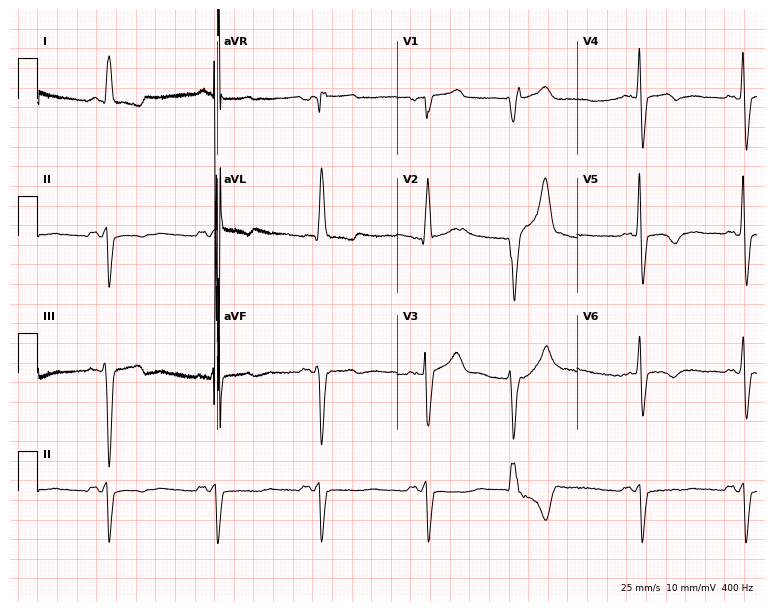
Standard 12-lead ECG recorded from a male, 64 years old. The tracing shows left bundle branch block (LBBB).